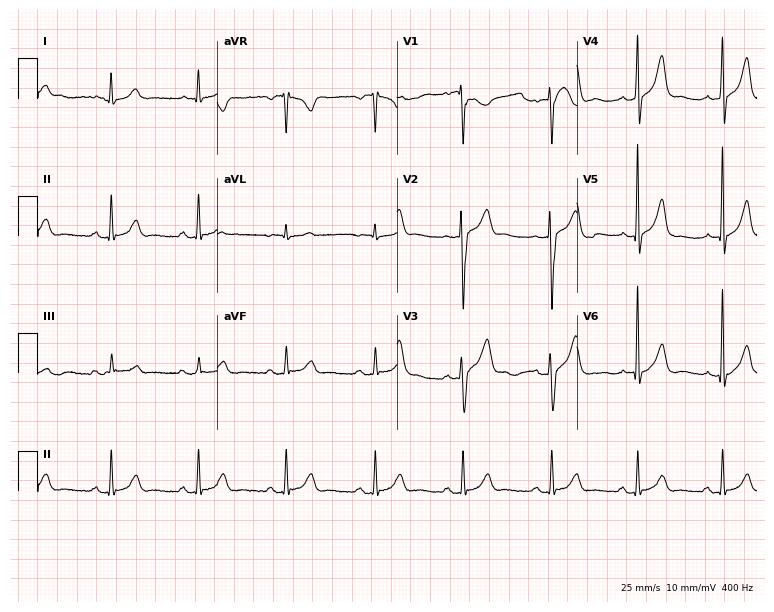
ECG — a male, 59 years old. Labelled as a normal ECG.